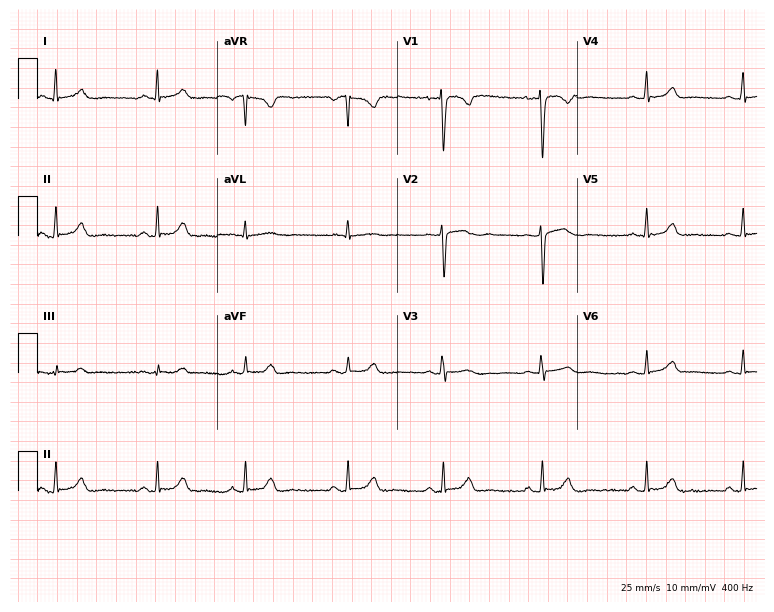
ECG (7.3-second recording at 400 Hz) — a woman, 22 years old. Screened for six findings — first-degree AV block, right bundle branch block, left bundle branch block, sinus bradycardia, atrial fibrillation, sinus tachycardia — none is recorded.